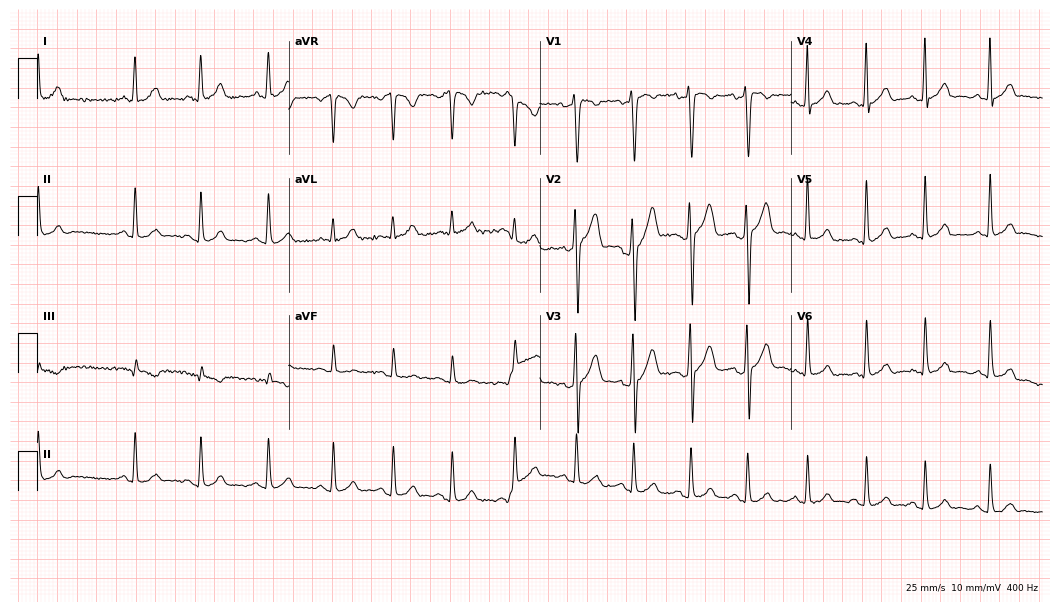
Standard 12-lead ECG recorded from a 21-year-old male (10.2-second recording at 400 Hz). None of these six findings is recorded: first-degree AV block, right bundle branch block, left bundle branch block, sinus bradycardia, atrial fibrillation, sinus tachycardia.